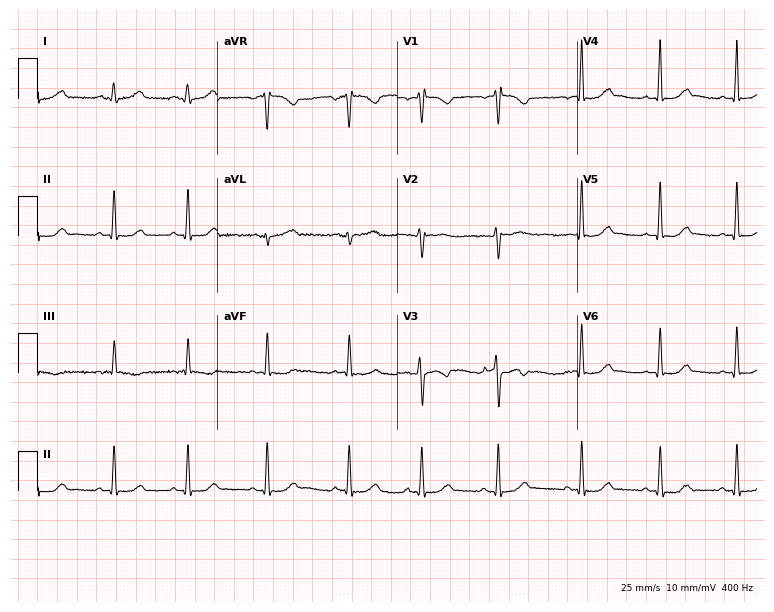
12-lead ECG from an 18-year-old female. Screened for six findings — first-degree AV block, right bundle branch block, left bundle branch block, sinus bradycardia, atrial fibrillation, sinus tachycardia — none is recorded. Only these six findings were labelled.